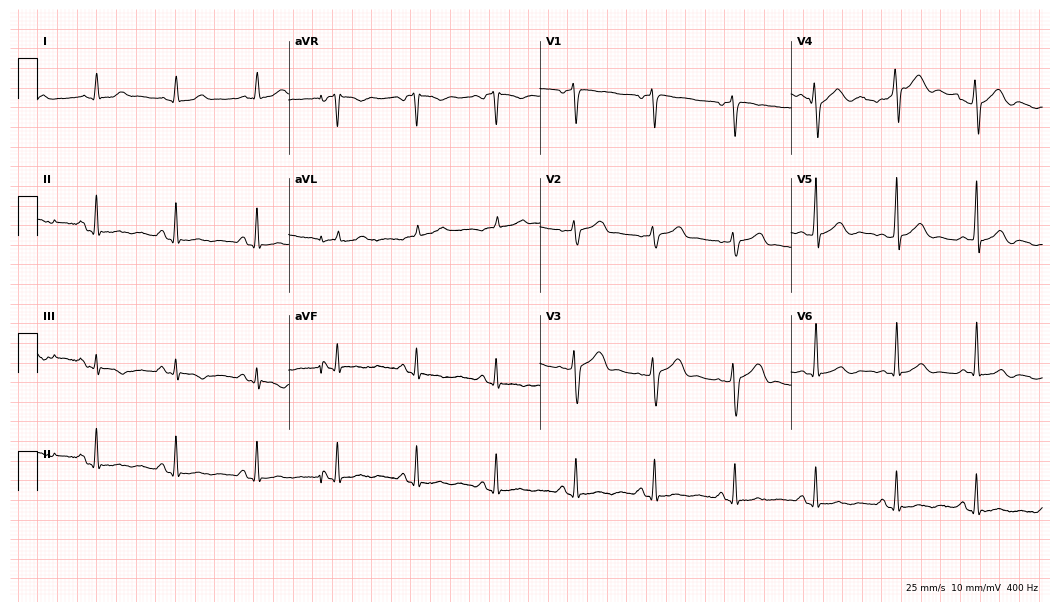
Electrocardiogram (10.2-second recording at 400 Hz), a 55-year-old man. Of the six screened findings (first-degree AV block, right bundle branch block, left bundle branch block, sinus bradycardia, atrial fibrillation, sinus tachycardia), none is recorded. Findings outside these six are not listed.